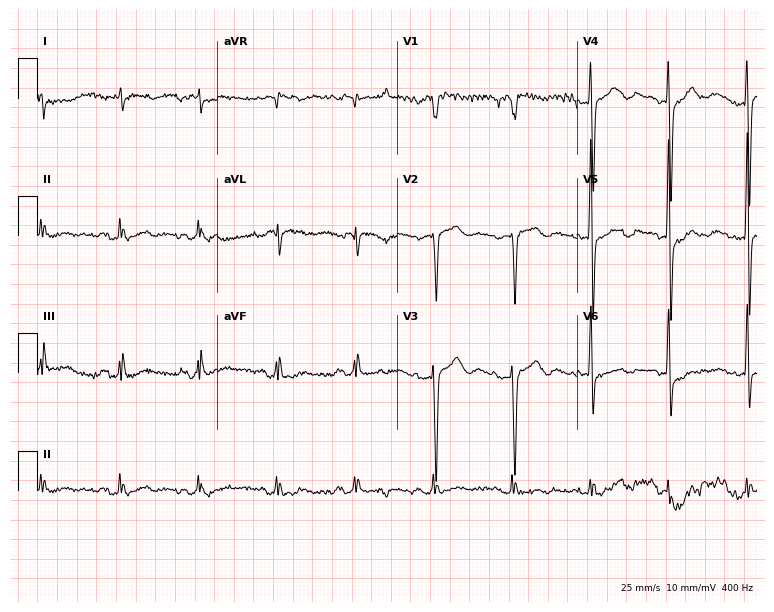
ECG — an 83-year-old man. Screened for six findings — first-degree AV block, right bundle branch block, left bundle branch block, sinus bradycardia, atrial fibrillation, sinus tachycardia — none is recorded. Only these six findings were labelled.